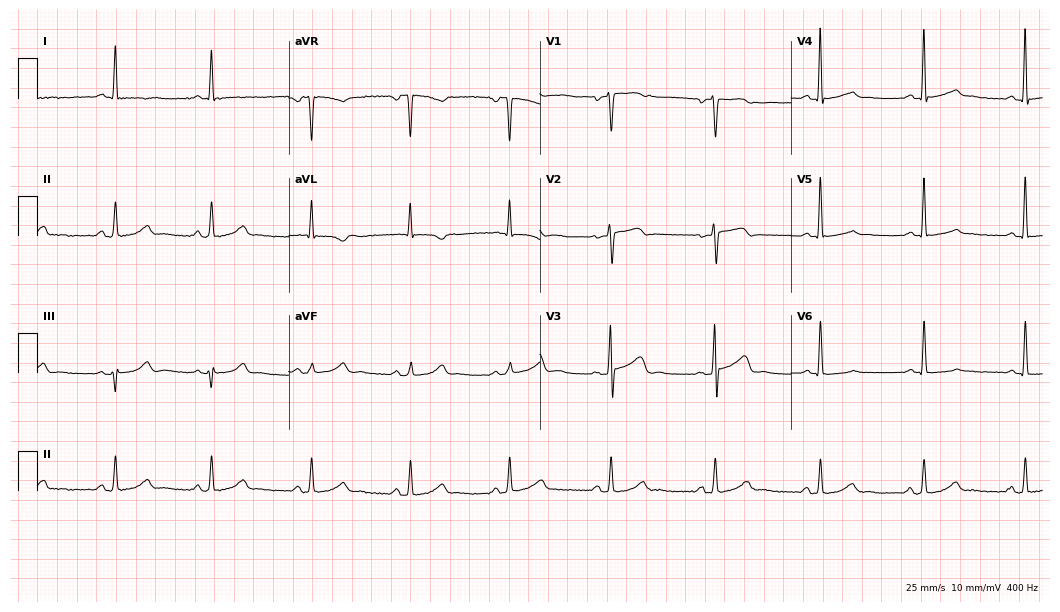
Resting 12-lead electrocardiogram (10.2-second recording at 400 Hz). Patient: a 49-year-old woman. Read as a normal ECG.